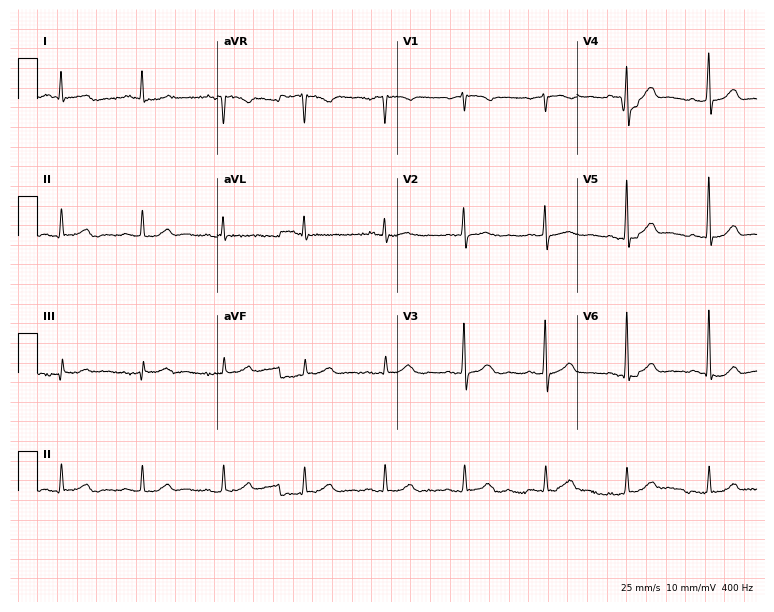
Electrocardiogram (7.3-second recording at 400 Hz), a male, 76 years old. Overall reading on record: normal ECG.